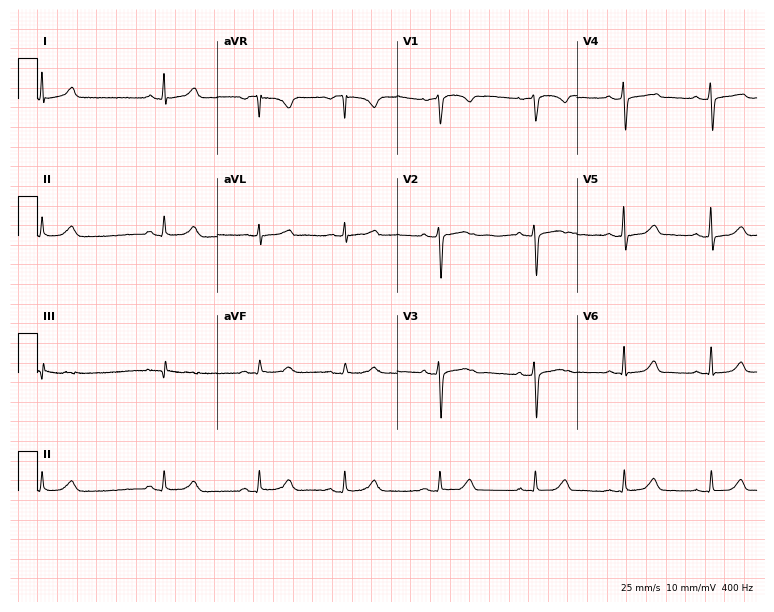
Resting 12-lead electrocardiogram (7.3-second recording at 400 Hz). Patient: a 35-year-old female. None of these six findings is recorded: first-degree AV block, right bundle branch block, left bundle branch block, sinus bradycardia, atrial fibrillation, sinus tachycardia. Only these six findings were labelled.